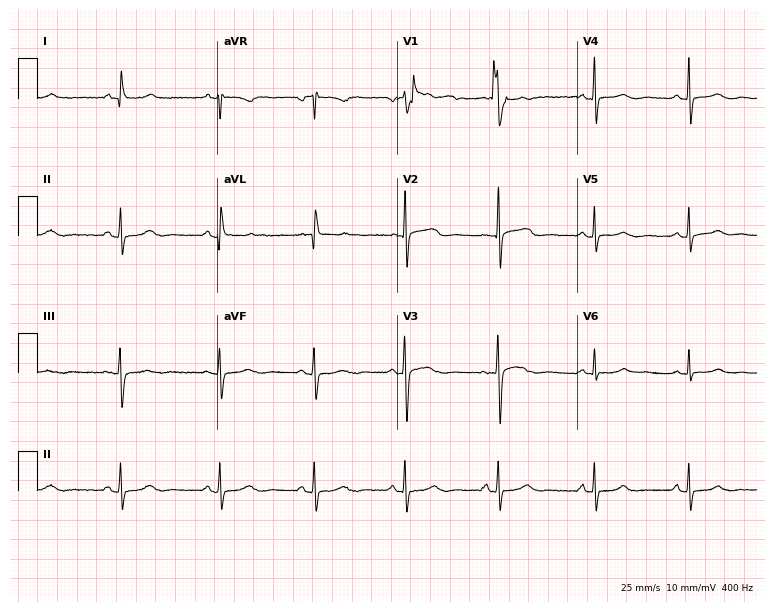
Electrocardiogram, a man, 78 years old. Overall reading on record: normal ECG.